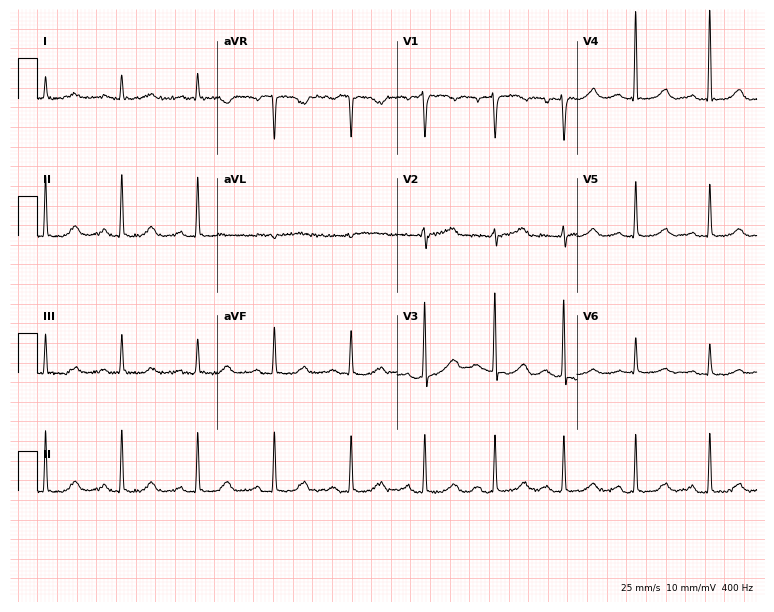
Resting 12-lead electrocardiogram. Patient: a female, 63 years old. Read as a normal ECG.